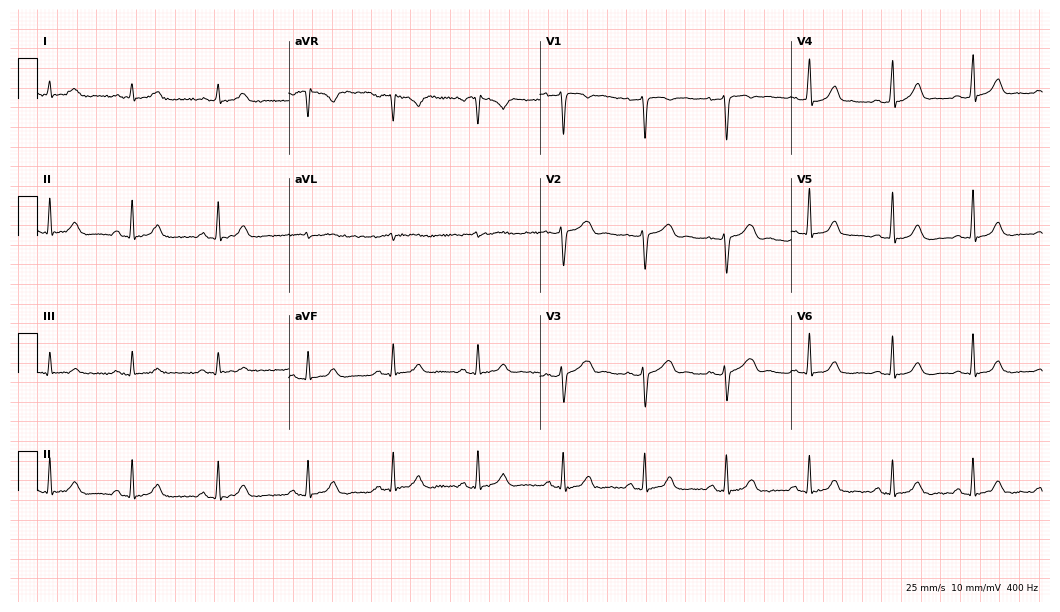
12-lead ECG from a 30-year-old female. Recorded interpretation: within normal limits.